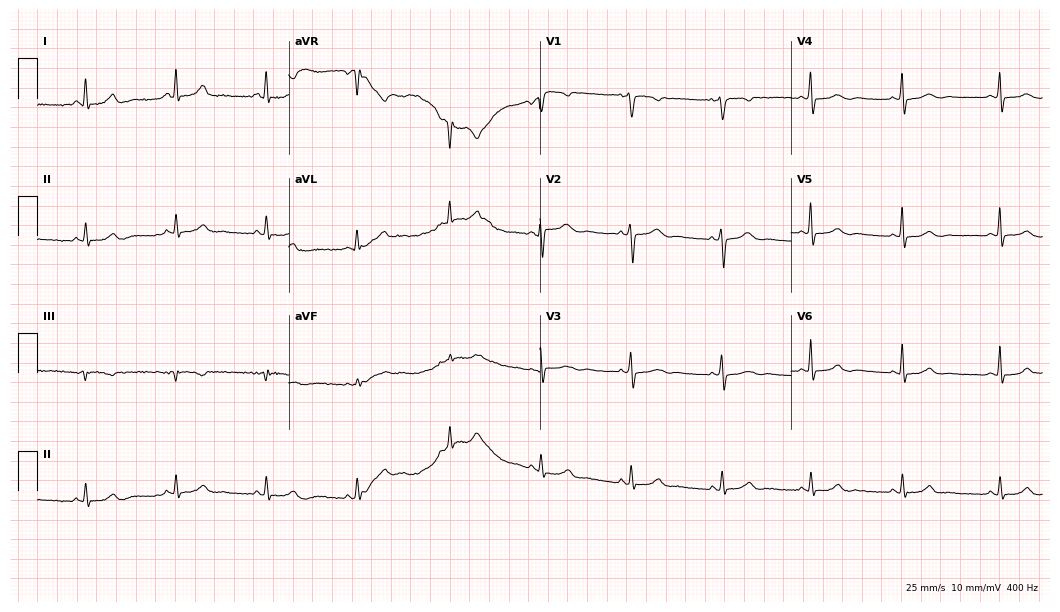
Resting 12-lead electrocardiogram (10.2-second recording at 400 Hz). Patient: a 47-year-old female. Read as a normal ECG.